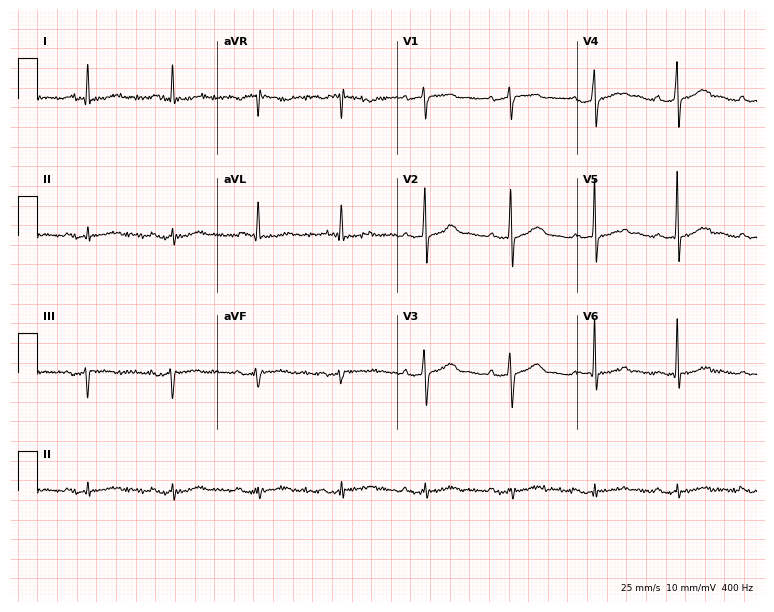
Electrocardiogram, a male patient, 72 years old. Of the six screened findings (first-degree AV block, right bundle branch block (RBBB), left bundle branch block (LBBB), sinus bradycardia, atrial fibrillation (AF), sinus tachycardia), none is recorded.